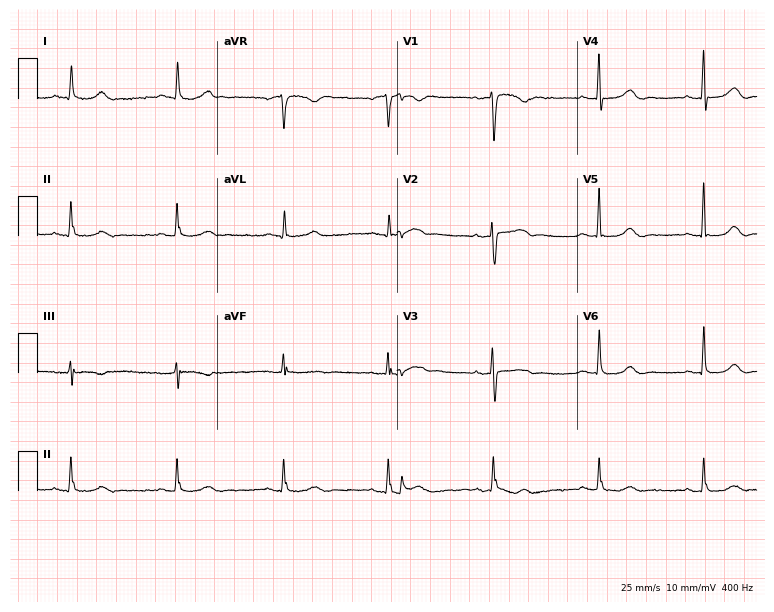
12-lead ECG from a female patient, 67 years old (7.3-second recording at 400 Hz). No first-degree AV block, right bundle branch block (RBBB), left bundle branch block (LBBB), sinus bradycardia, atrial fibrillation (AF) or sinus tachycardia recorded for this tracing. Findings outside these six are not listed.